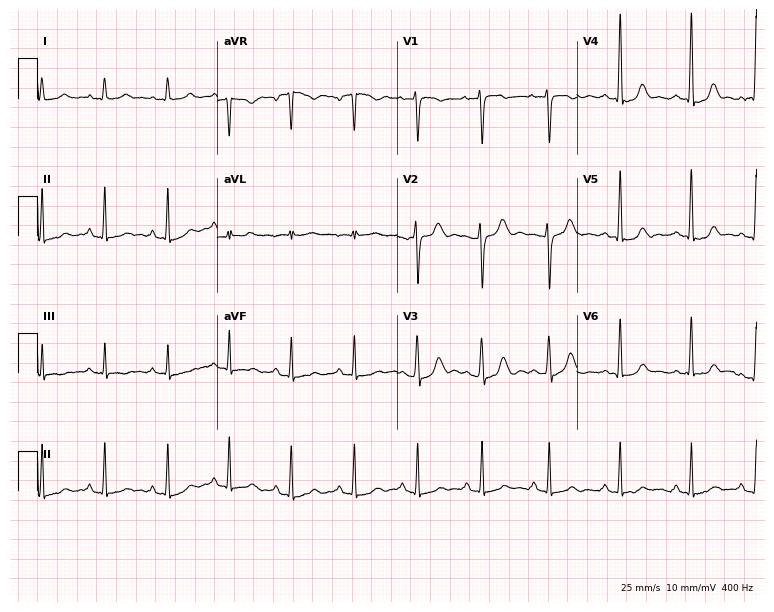
12-lead ECG from a female, 31 years old (7.3-second recording at 400 Hz). Recorded interpretation: within normal limits.